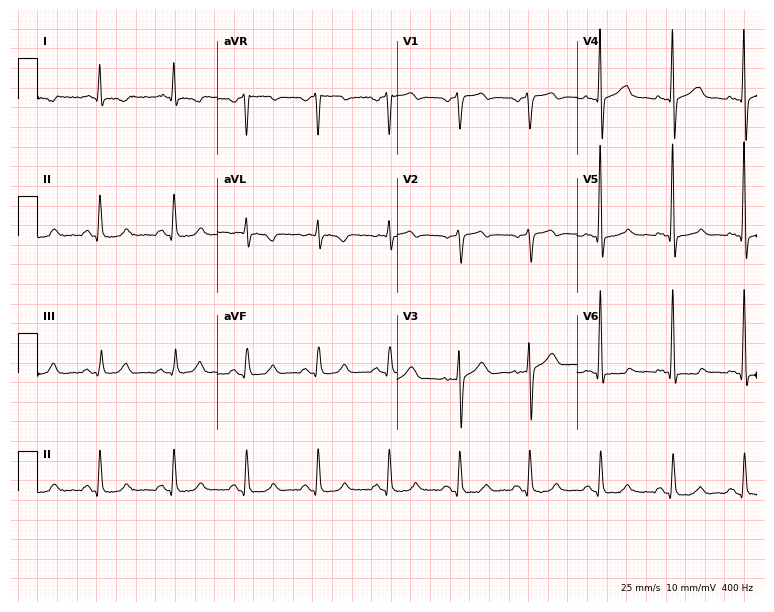
12-lead ECG (7.3-second recording at 400 Hz) from a 49-year-old man. Screened for six findings — first-degree AV block, right bundle branch block, left bundle branch block, sinus bradycardia, atrial fibrillation, sinus tachycardia — none is recorded. Only these six findings were labelled.